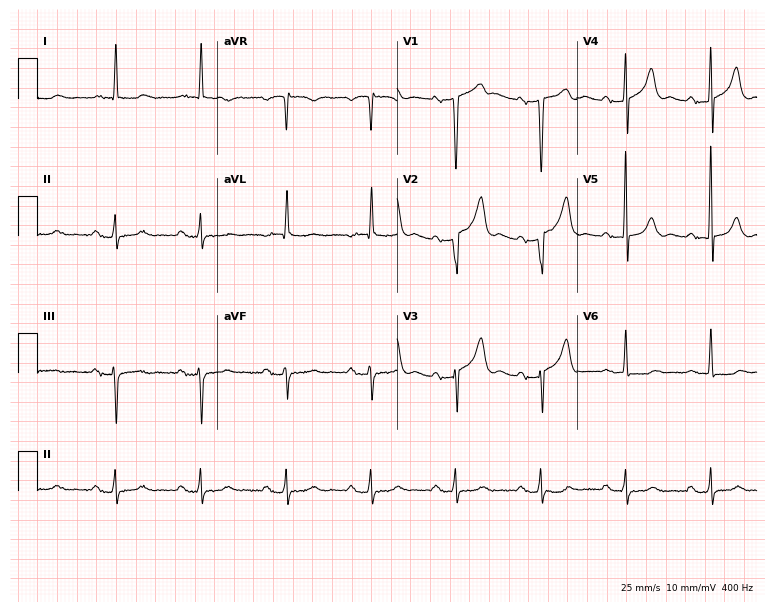
Standard 12-lead ECG recorded from a man, 74 years old (7.3-second recording at 400 Hz). None of these six findings is recorded: first-degree AV block, right bundle branch block (RBBB), left bundle branch block (LBBB), sinus bradycardia, atrial fibrillation (AF), sinus tachycardia.